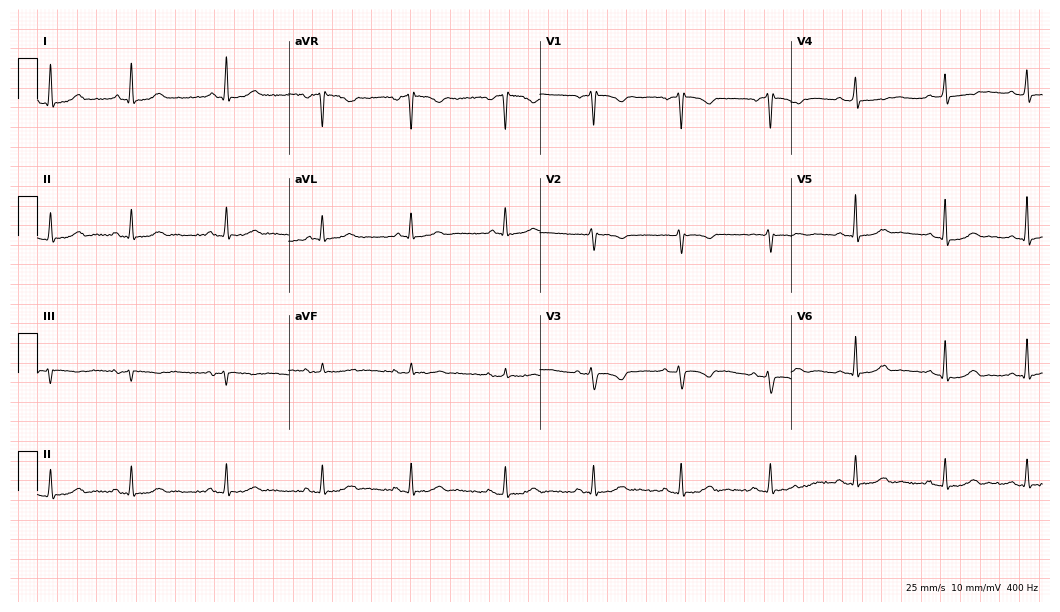
ECG (10.2-second recording at 400 Hz) — a female, 33 years old. Screened for six findings — first-degree AV block, right bundle branch block (RBBB), left bundle branch block (LBBB), sinus bradycardia, atrial fibrillation (AF), sinus tachycardia — none is recorded.